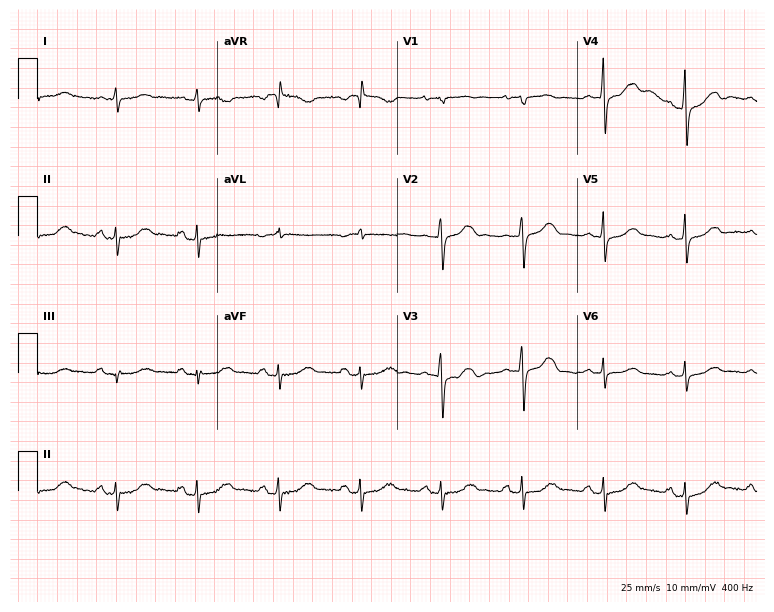
12-lead ECG from a 67-year-old woman (7.3-second recording at 400 Hz). No first-degree AV block, right bundle branch block, left bundle branch block, sinus bradycardia, atrial fibrillation or sinus tachycardia recorded for this tracing.